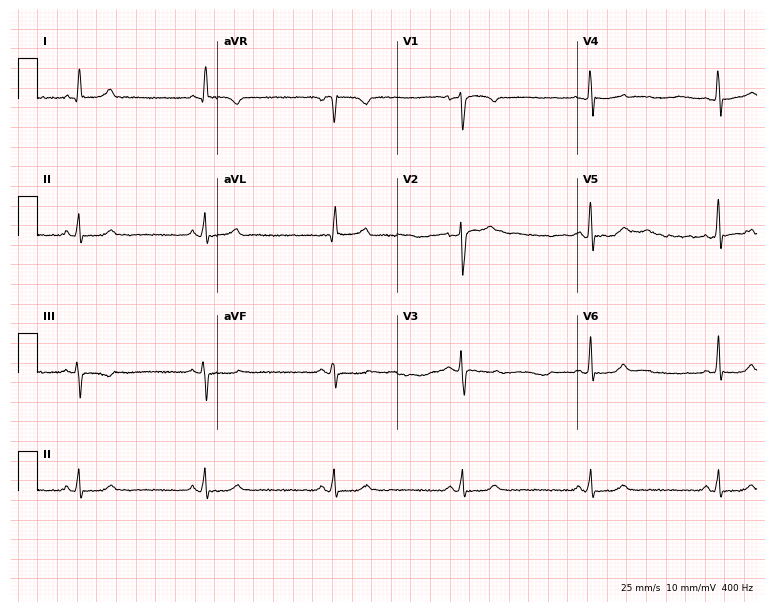
Resting 12-lead electrocardiogram. Patient: a female, 41 years old. The tracing shows sinus bradycardia (a sinus rate of 50 beats per minute or less).